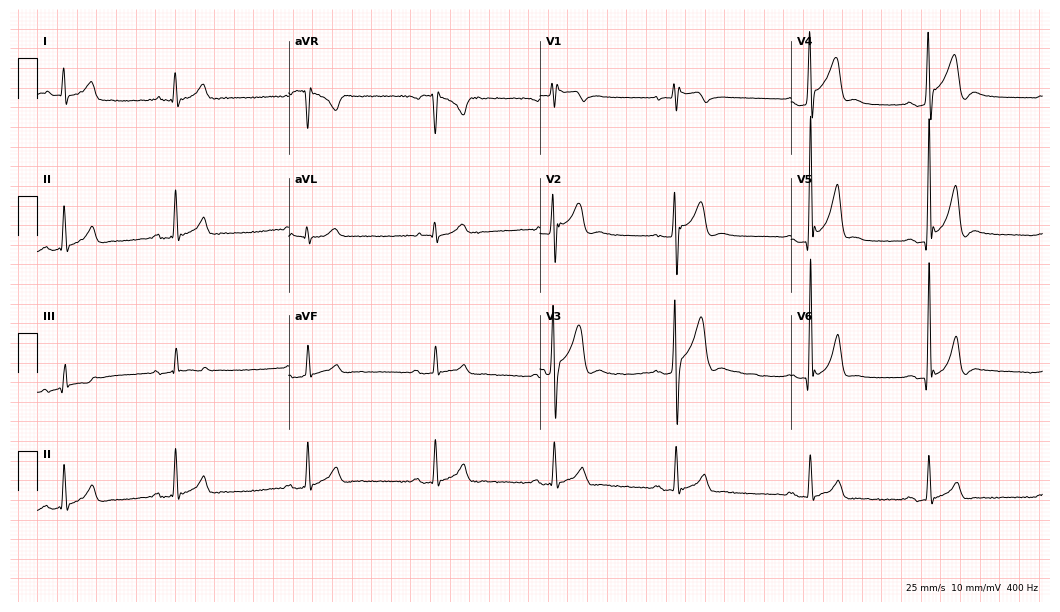
Electrocardiogram, a 26-year-old female patient. Interpretation includes sinus bradycardia (a sinus rate of 50 beats per minute or less).